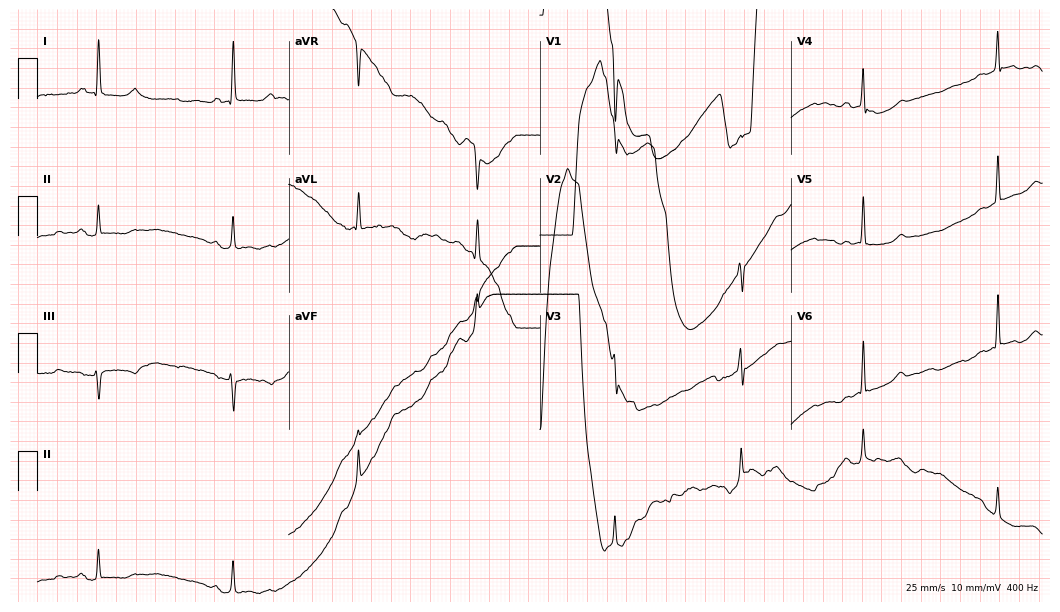
ECG (10.2-second recording at 400 Hz) — a woman, 55 years old. Findings include sinus bradycardia (a sinus rate of 50 beats per minute or less).